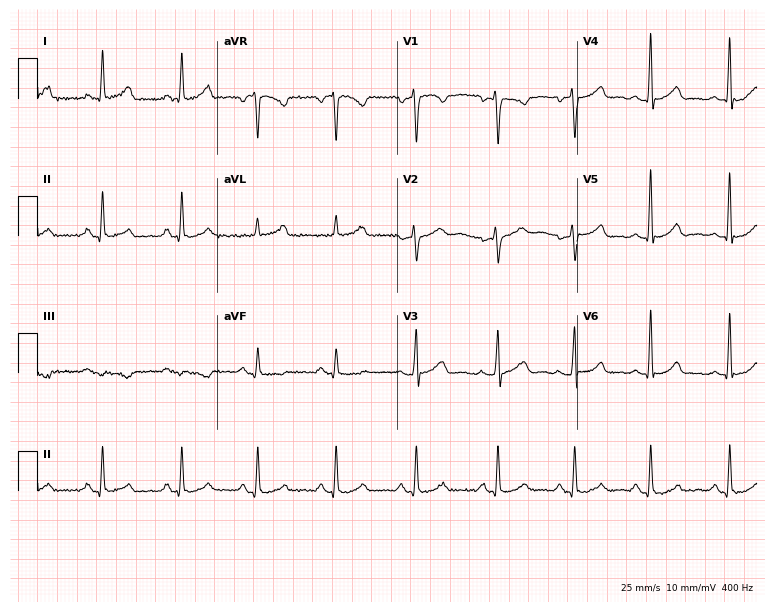
Electrocardiogram (7.3-second recording at 400 Hz), a female, 42 years old. Of the six screened findings (first-degree AV block, right bundle branch block, left bundle branch block, sinus bradycardia, atrial fibrillation, sinus tachycardia), none is recorded. Findings outside these six are not listed.